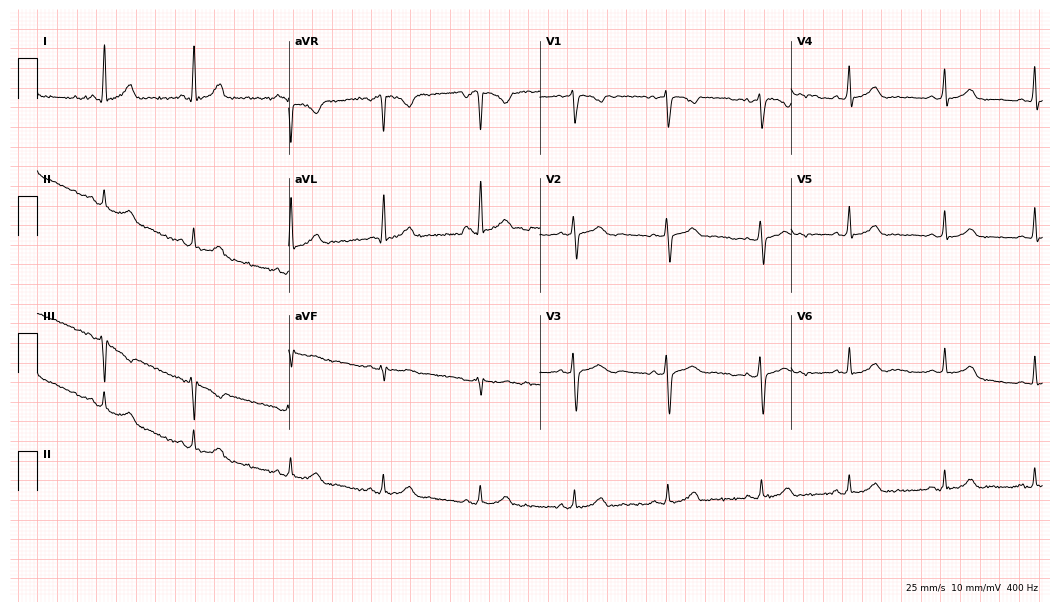
Electrocardiogram, a 33-year-old female patient. Overall reading on record: normal ECG.